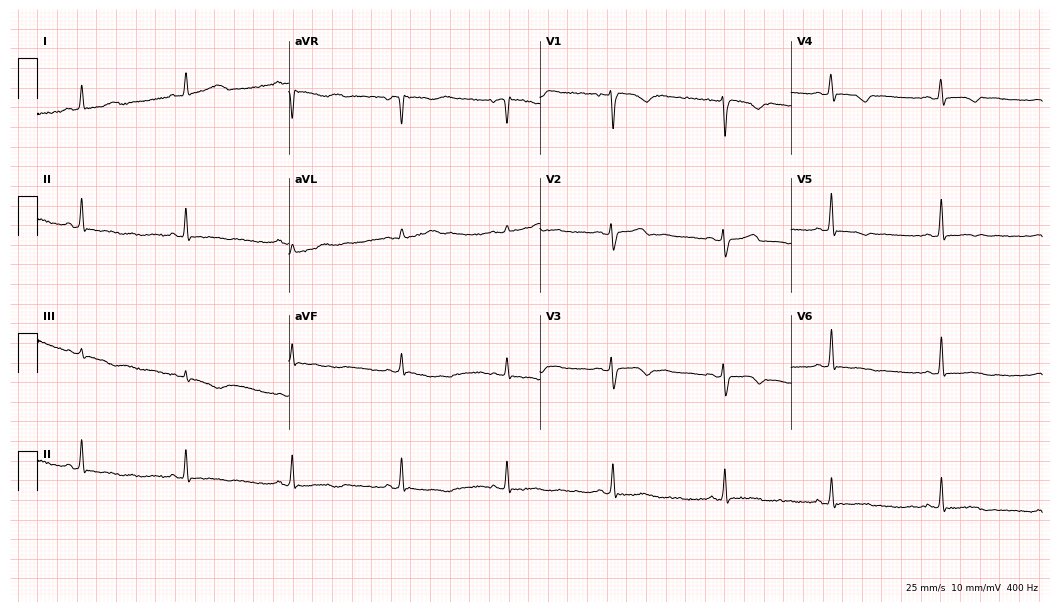
Resting 12-lead electrocardiogram (10.2-second recording at 400 Hz). Patient: a female, 60 years old. None of these six findings is recorded: first-degree AV block, right bundle branch block, left bundle branch block, sinus bradycardia, atrial fibrillation, sinus tachycardia. Only these six findings were labelled.